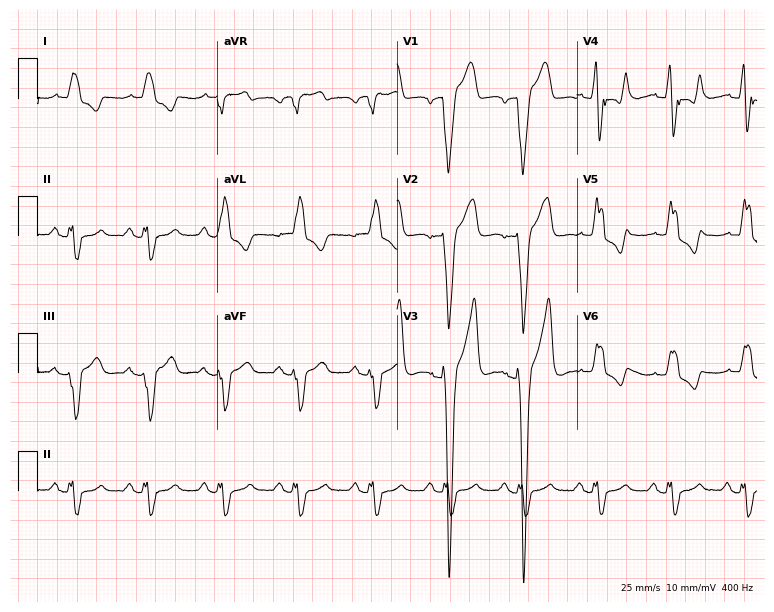
ECG (7.3-second recording at 400 Hz) — a male patient, 23 years old. Findings include left bundle branch block.